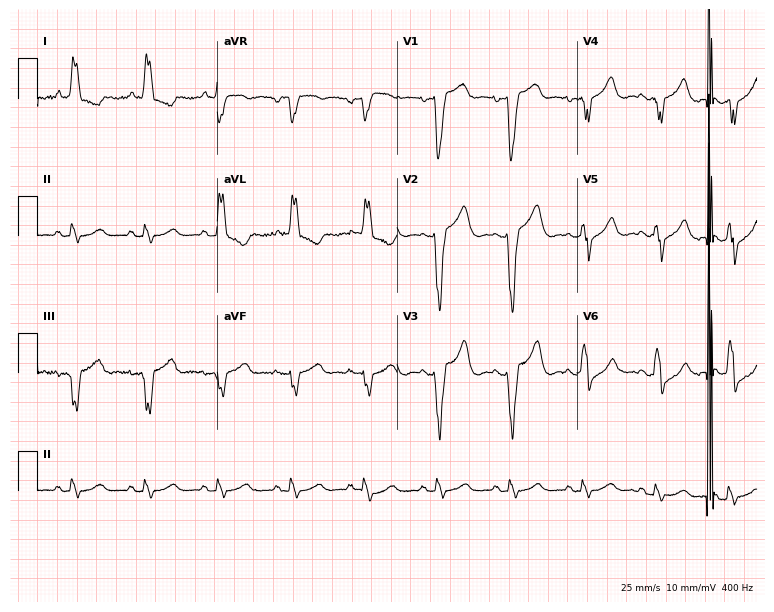
Resting 12-lead electrocardiogram. Patient: a 78-year-old man. The tracing shows left bundle branch block (LBBB).